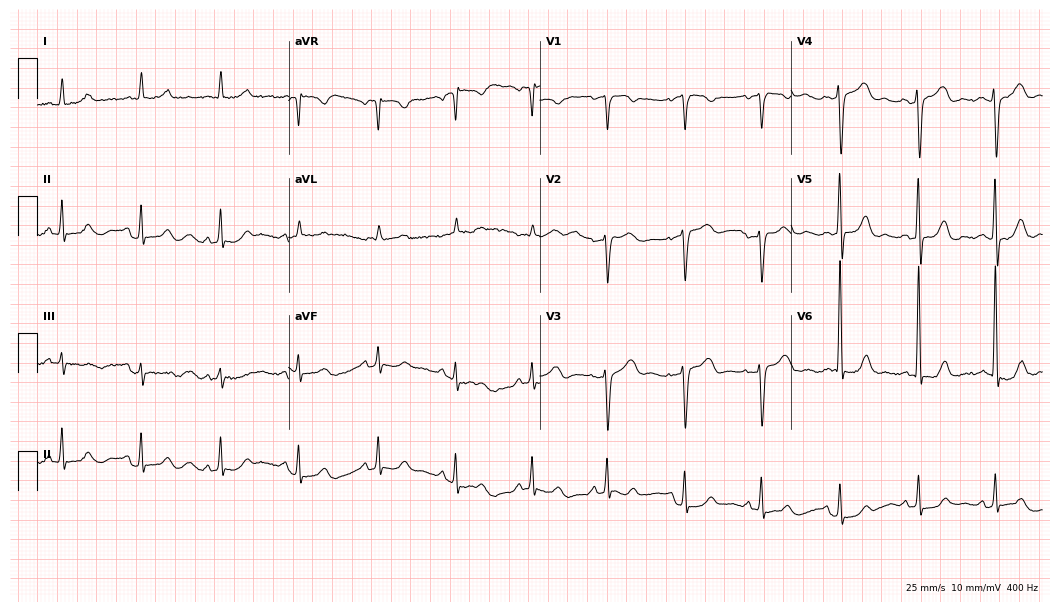
Standard 12-lead ECG recorded from a 76-year-old woman (10.2-second recording at 400 Hz). None of these six findings is recorded: first-degree AV block, right bundle branch block, left bundle branch block, sinus bradycardia, atrial fibrillation, sinus tachycardia.